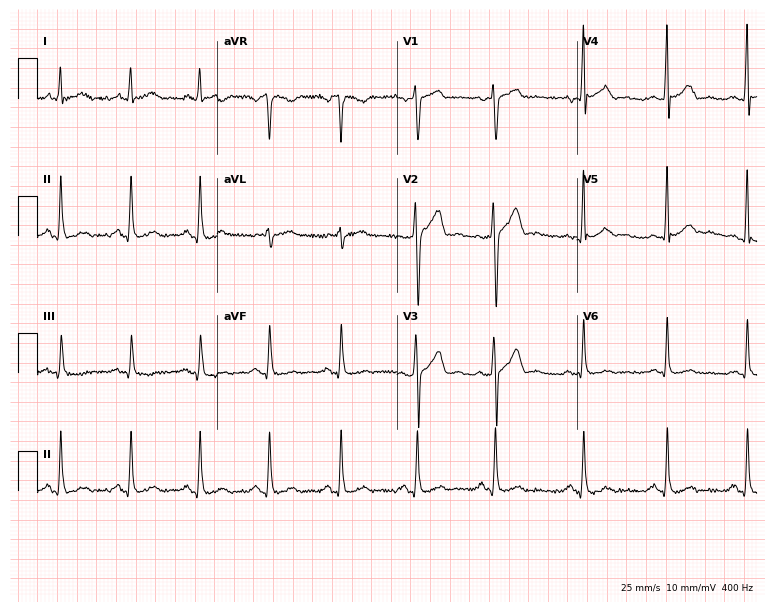
ECG (7.3-second recording at 400 Hz) — a 55-year-old male patient. Screened for six findings — first-degree AV block, right bundle branch block, left bundle branch block, sinus bradycardia, atrial fibrillation, sinus tachycardia — none is recorded. Other findings, if any, are not listed.